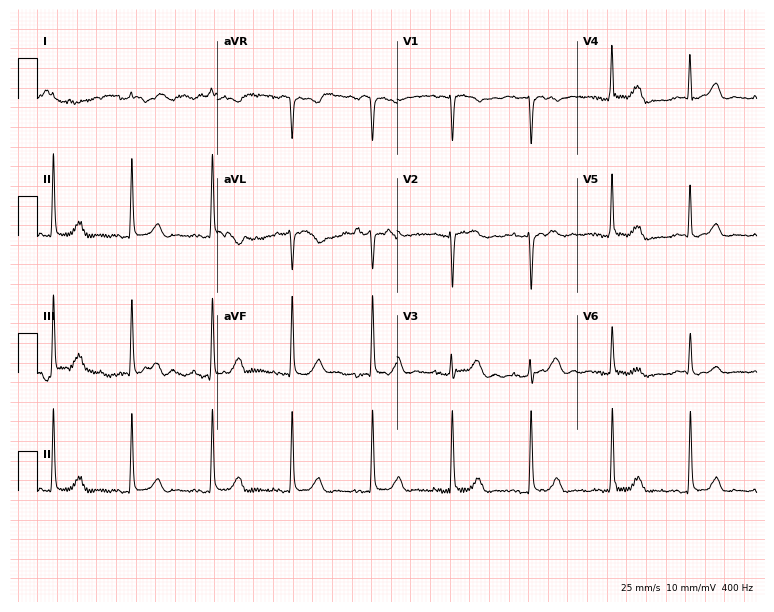
Electrocardiogram, an 81-year-old female patient. Of the six screened findings (first-degree AV block, right bundle branch block (RBBB), left bundle branch block (LBBB), sinus bradycardia, atrial fibrillation (AF), sinus tachycardia), none is recorded. Other findings, if any, are not listed.